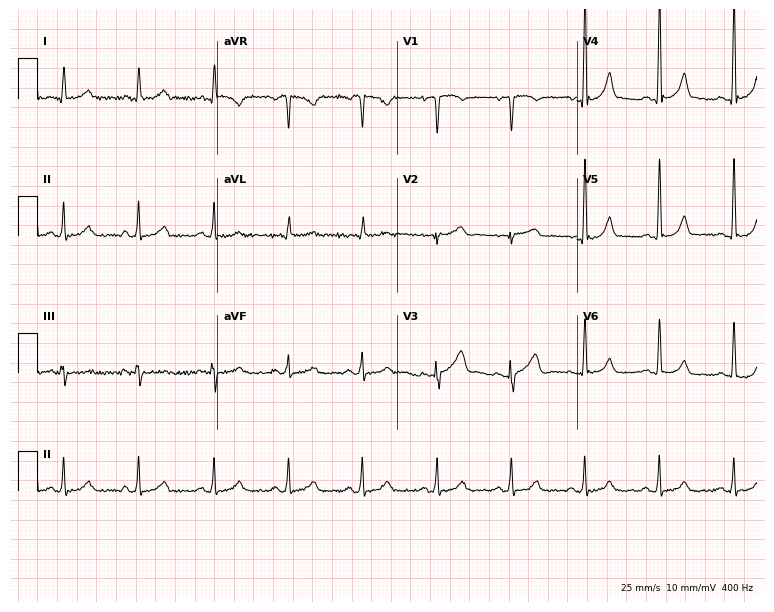
Resting 12-lead electrocardiogram (7.3-second recording at 400 Hz). Patient: a female, 55 years old. Read as a normal ECG.